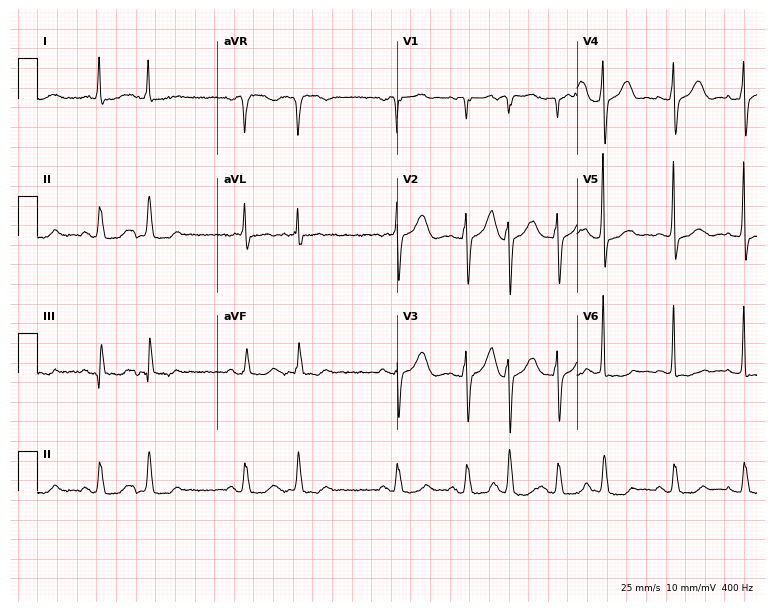
ECG (7.3-second recording at 400 Hz) — a female, 81 years old. Screened for six findings — first-degree AV block, right bundle branch block, left bundle branch block, sinus bradycardia, atrial fibrillation, sinus tachycardia — none is recorded.